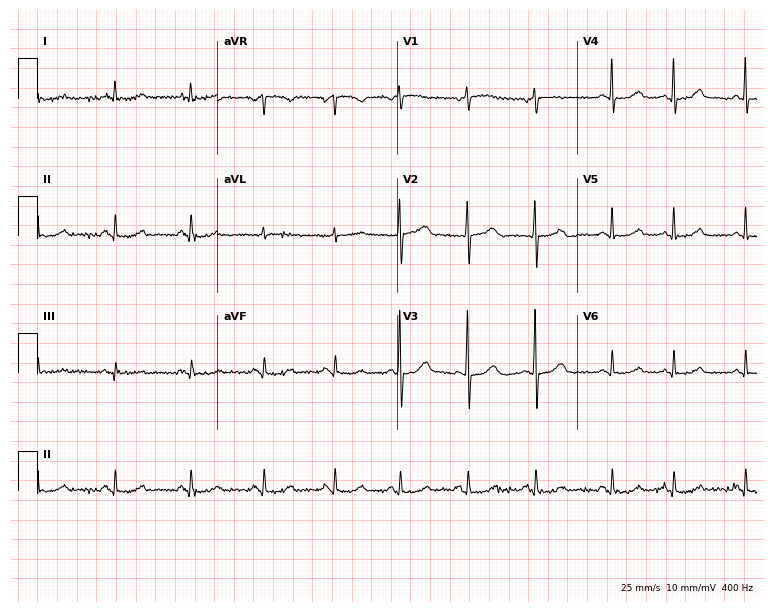
Electrocardiogram, a 71-year-old woman. Of the six screened findings (first-degree AV block, right bundle branch block, left bundle branch block, sinus bradycardia, atrial fibrillation, sinus tachycardia), none is recorded.